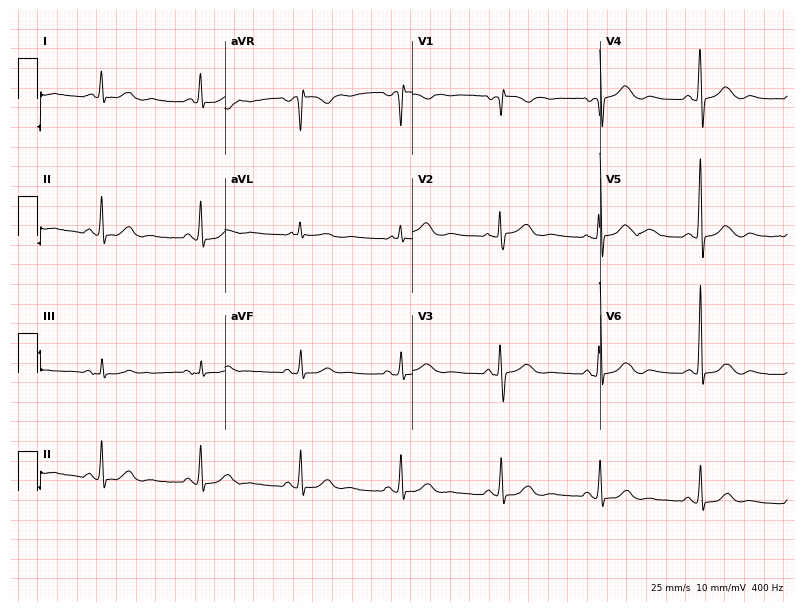
Resting 12-lead electrocardiogram (7.6-second recording at 400 Hz). Patient: a 74-year-old woman. None of these six findings is recorded: first-degree AV block, right bundle branch block (RBBB), left bundle branch block (LBBB), sinus bradycardia, atrial fibrillation (AF), sinus tachycardia.